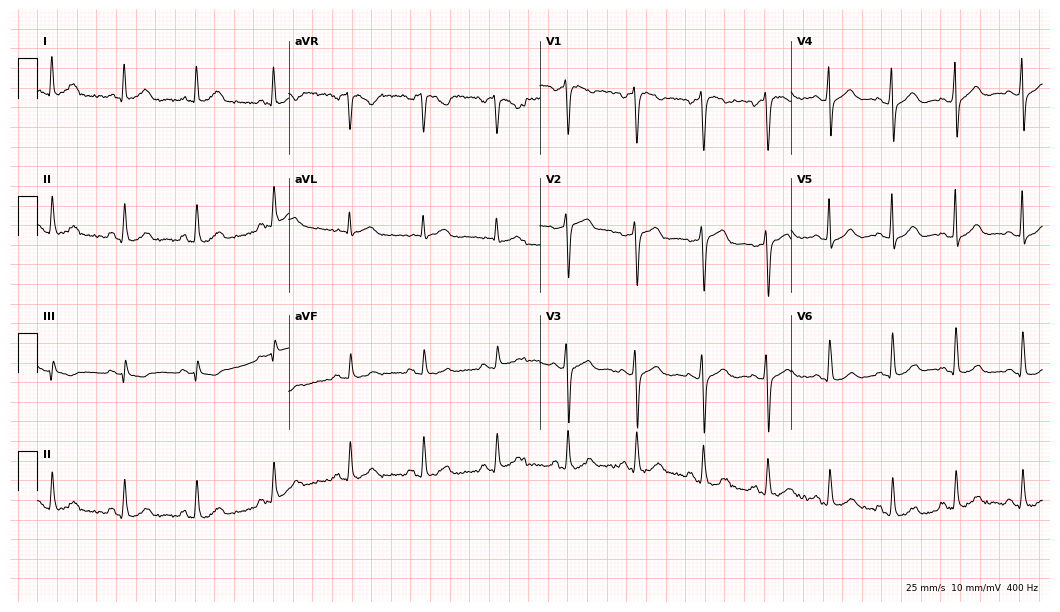
Resting 12-lead electrocardiogram (10.2-second recording at 400 Hz). Patient: a 43-year-old female. Read as a normal ECG.